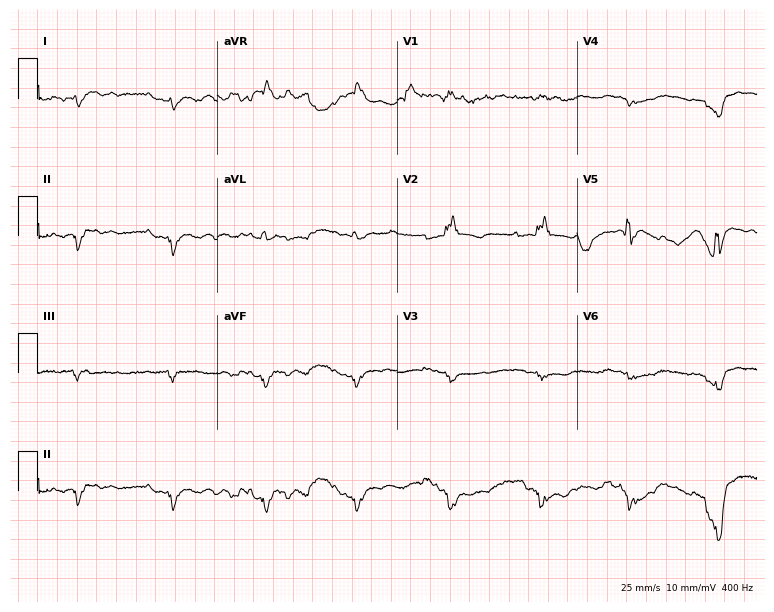
Standard 12-lead ECG recorded from a 61-year-old man. None of these six findings is recorded: first-degree AV block, right bundle branch block, left bundle branch block, sinus bradycardia, atrial fibrillation, sinus tachycardia.